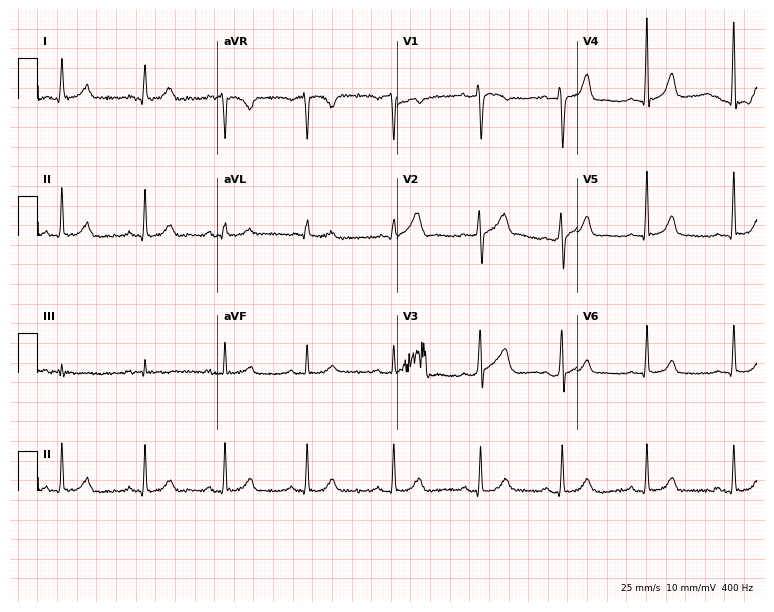
Resting 12-lead electrocardiogram. Patient: a female, 33 years old. Read as a normal ECG.